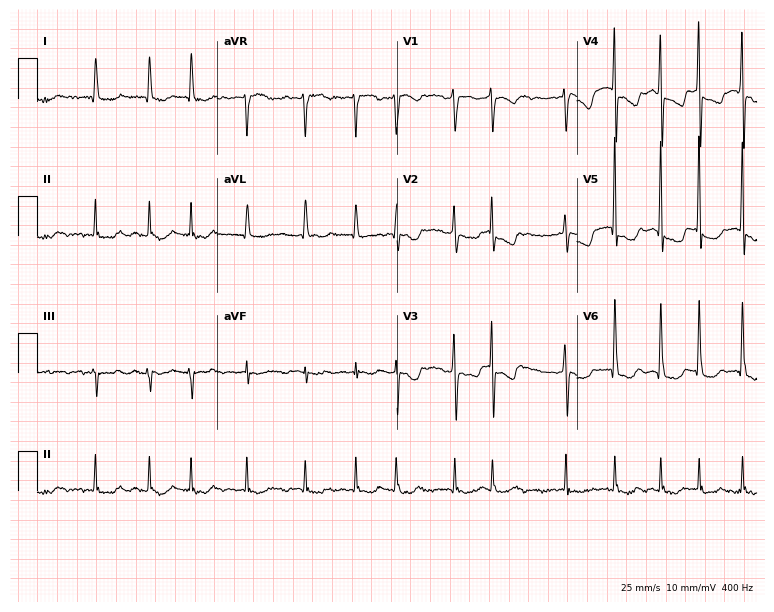
12-lead ECG from a female, 65 years old. Findings include atrial fibrillation.